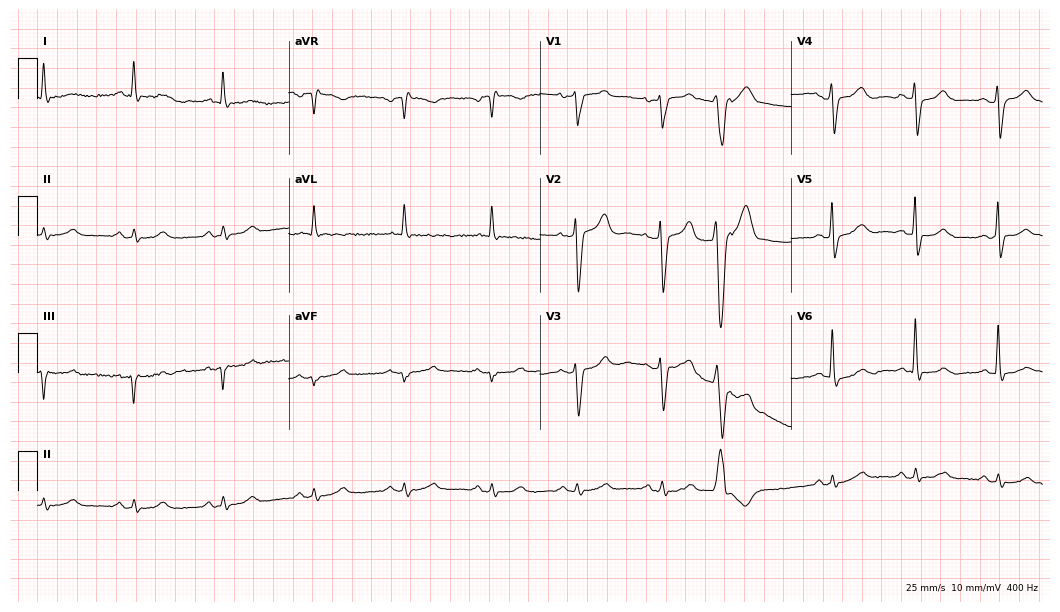
ECG — a male patient, 80 years old. Screened for six findings — first-degree AV block, right bundle branch block (RBBB), left bundle branch block (LBBB), sinus bradycardia, atrial fibrillation (AF), sinus tachycardia — none is recorded.